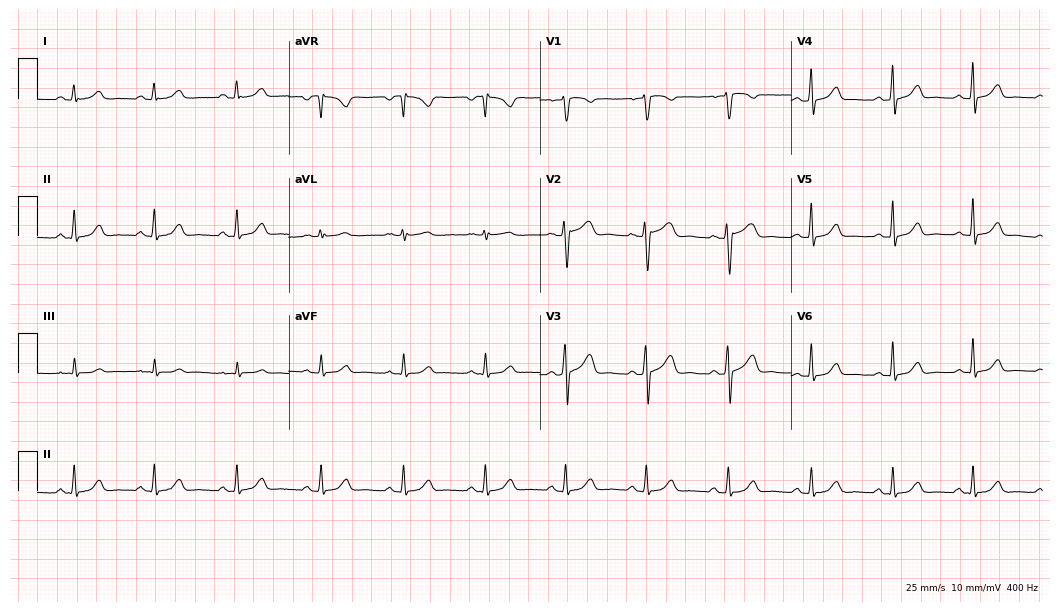
12-lead ECG from a 37-year-old female patient (10.2-second recording at 400 Hz). Recorded interpretation: within normal limits.